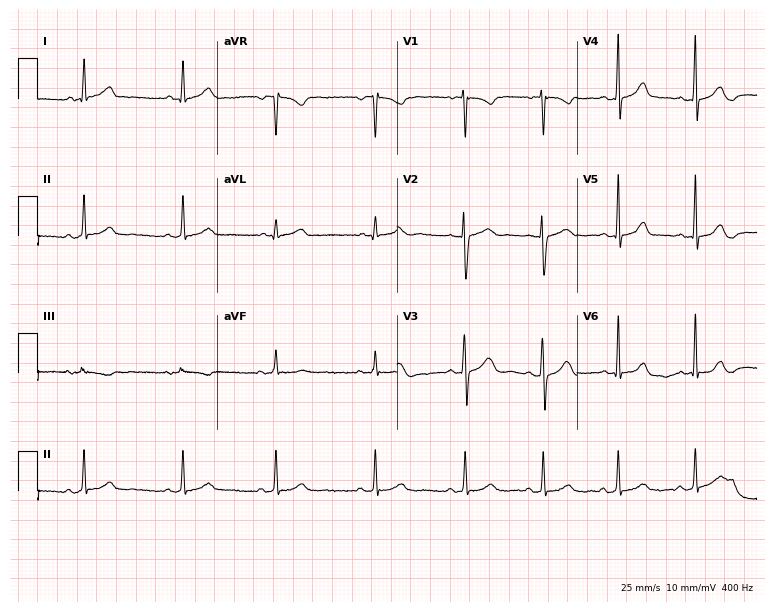
Electrocardiogram, a female, 33 years old. Of the six screened findings (first-degree AV block, right bundle branch block, left bundle branch block, sinus bradycardia, atrial fibrillation, sinus tachycardia), none is recorded.